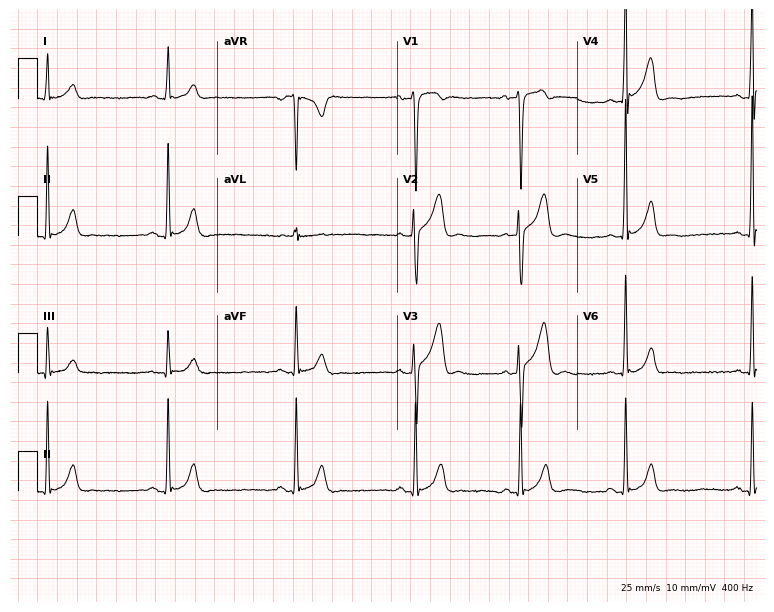
12-lead ECG from a 27-year-old man (7.3-second recording at 400 Hz). Shows sinus bradycardia (a sinus rate of 50 beats per minute or less).